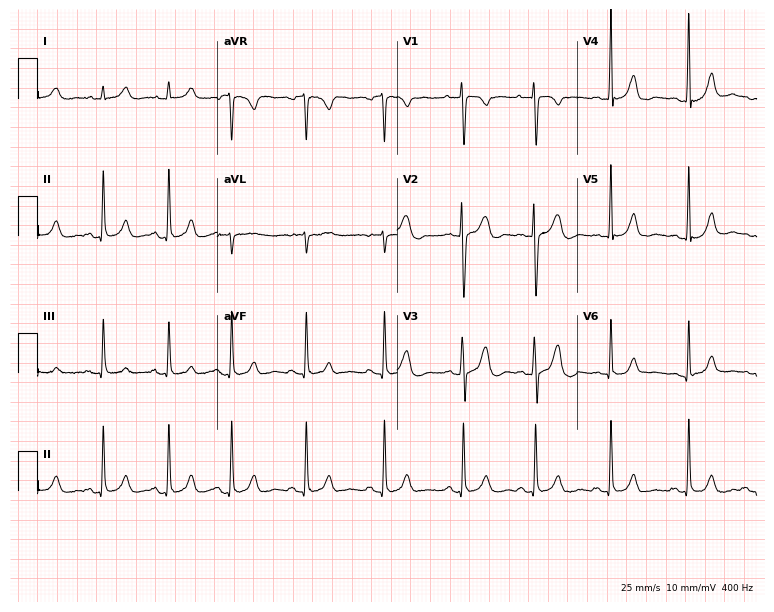
12-lead ECG from a female, 20 years old. Recorded interpretation: within normal limits.